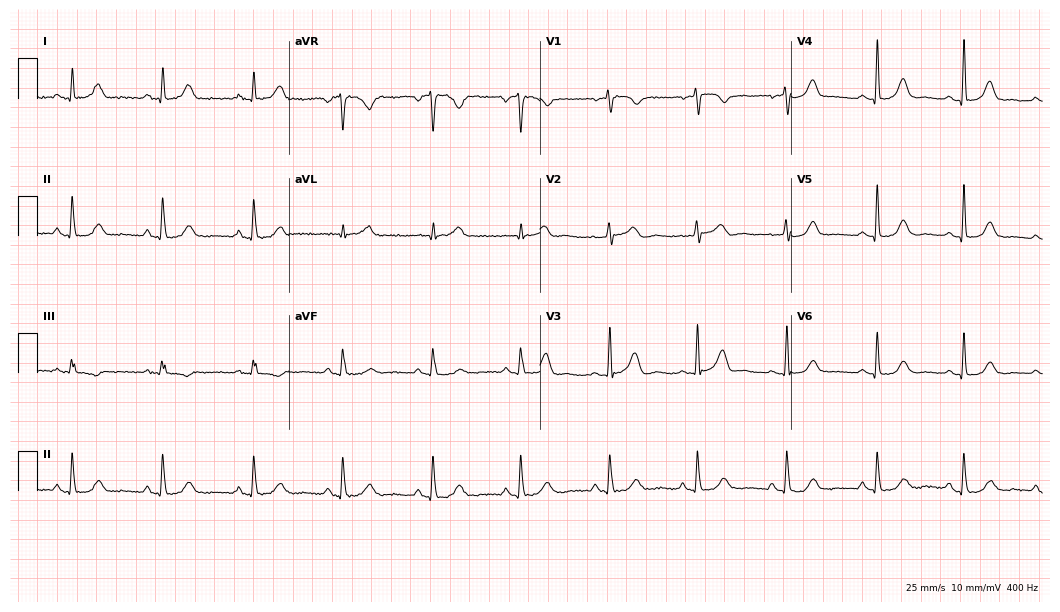
ECG (10.2-second recording at 400 Hz) — a 59-year-old woman. Screened for six findings — first-degree AV block, right bundle branch block, left bundle branch block, sinus bradycardia, atrial fibrillation, sinus tachycardia — none is recorded.